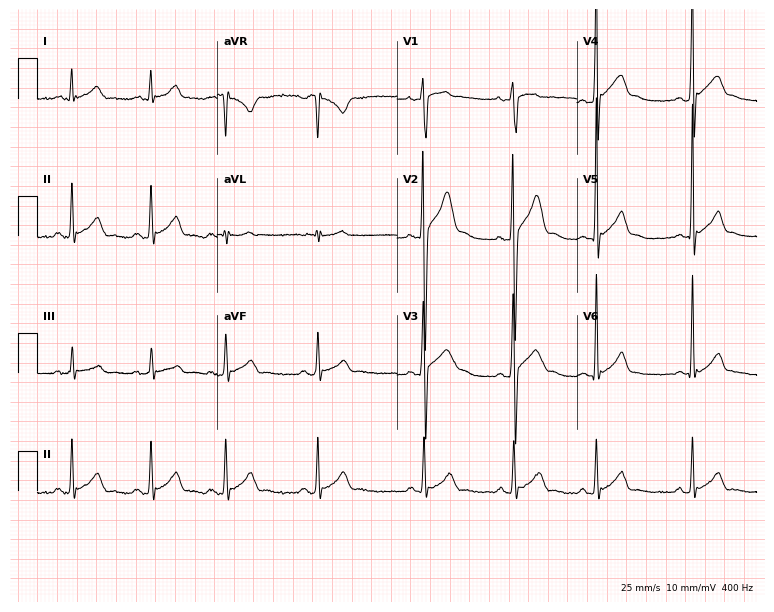
12-lead ECG (7.3-second recording at 400 Hz) from a male, 18 years old. Screened for six findings — first-degree AV block, right bundle branch block, left bundle branch block, sinus bradycardia, atrial fibrillation, sinus tachycardia — none is recorded.